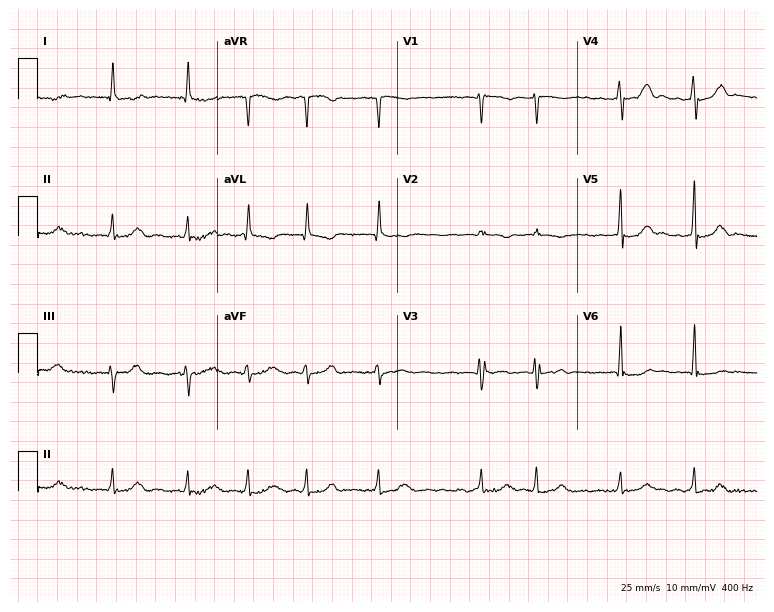
ECG (7.3-second recording at 400 Hz) — a woman, 79 years old. Findings include atrial fibrillation.